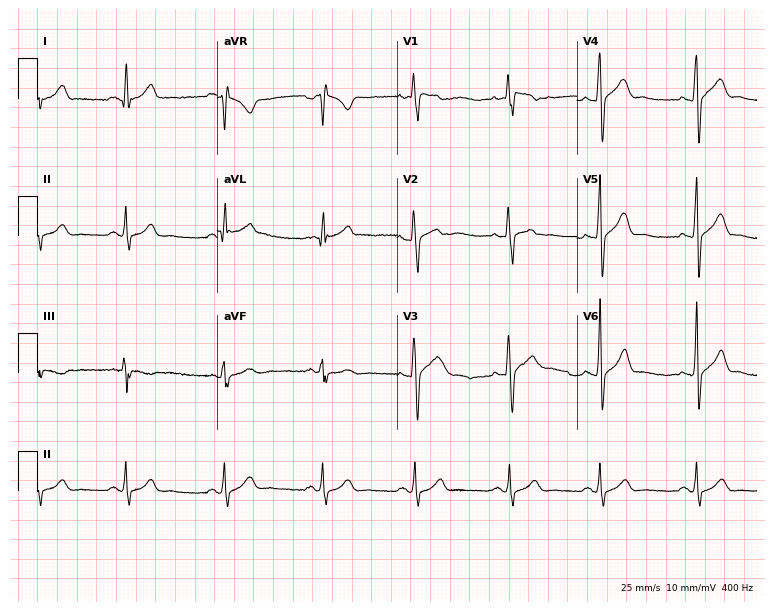
12-lead ECG from a 24-year-old male patient. Labelled as a normal ECG.